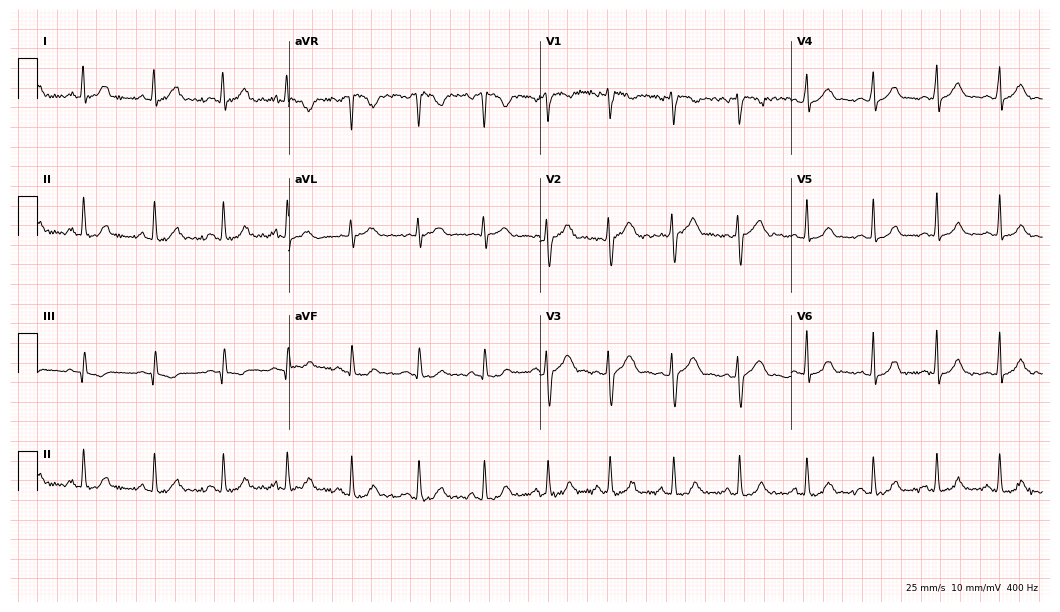
12-lead ECG from a 24-year-old man. No first-degree AV block, right bundle branch block, left bundle branch block, sinus bradycardia, atrial fibrillation or sinus tachycardia recorded for this tracing. Other findings, if any, are not listed.